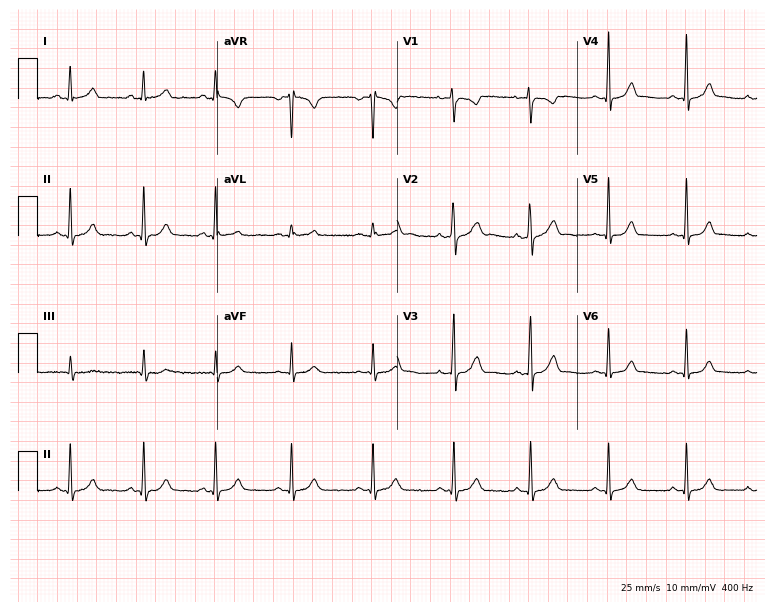
12-lead ECG from a 23-year-old woman. No first-degree AV block, right bundle branch block, left bundle branch block, sinus bradycardia, atrial fibrillation or sinus tachycardia recorded for this tracing.